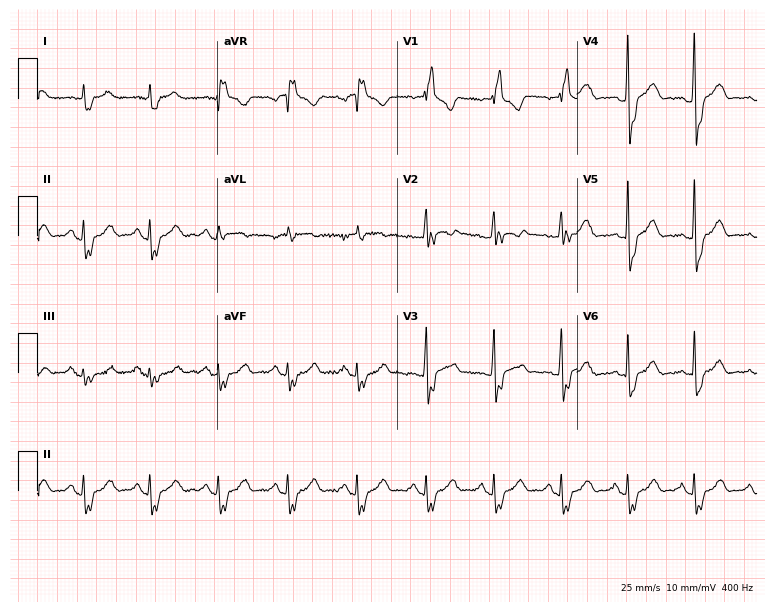
Electrocardiogram (7.3-second recording at 400 Hz), a 60-year-old male. Interpretation includes right bundle branch block.